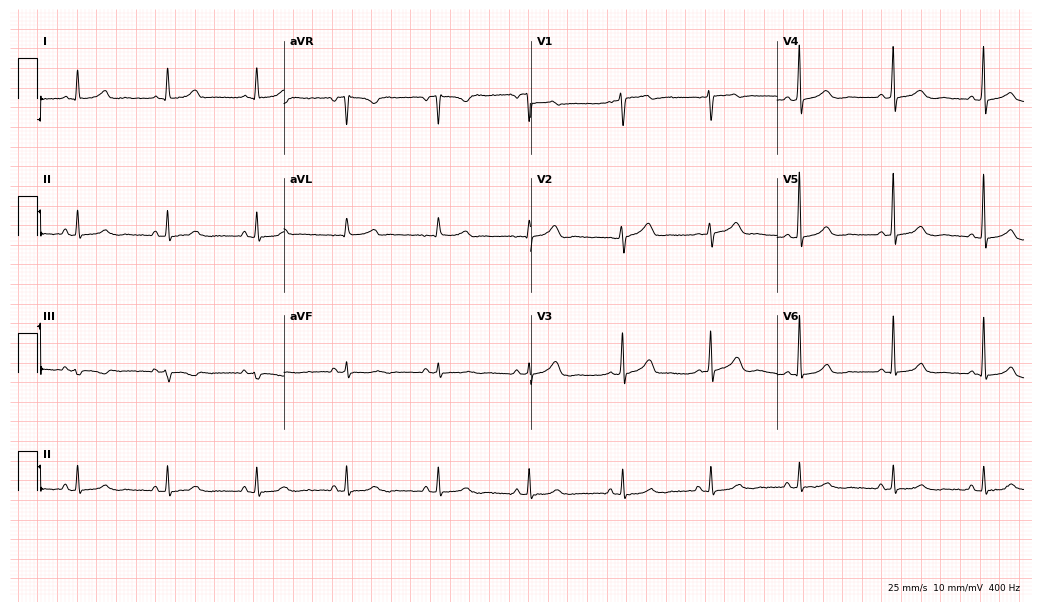
Electrocardiogram, a 59-year-old woman. Overall reading on record: normal ECG.